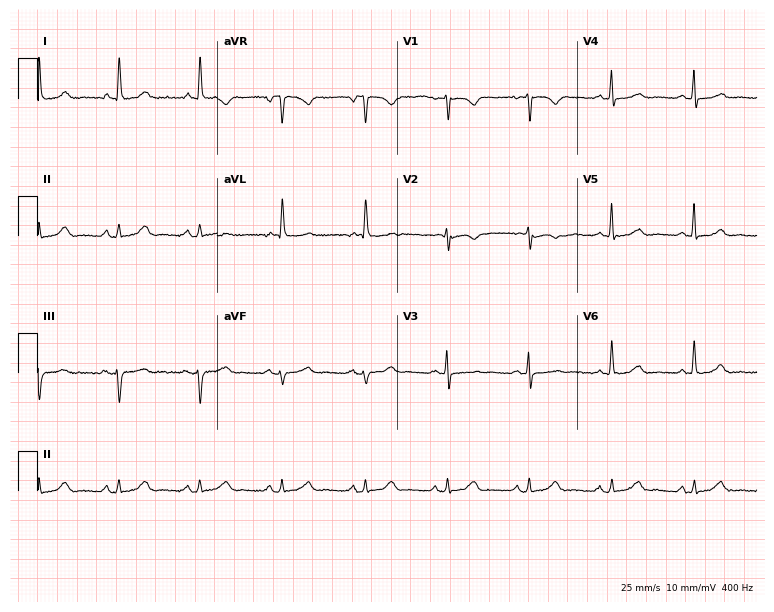
Electrocardiogram (7.3-second recording at 400 Hz), a female patient, 64 years old. Overall reading on record: normal ECG.